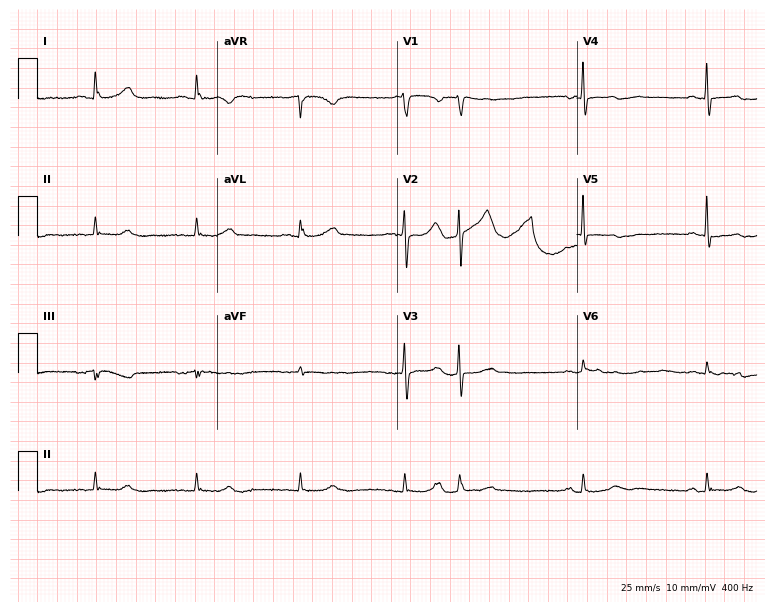
Resting 12-lead electrocardiogram. Patient: a 79-year-old woman. None of these six findings is recorded: first-degree AV block, right bundle branch block (RBBB), left bundle branch block (LBBB), sinus bradycardia, atrial fibrillation (AF), sinus tachycardia. Only these six findings were labelled.